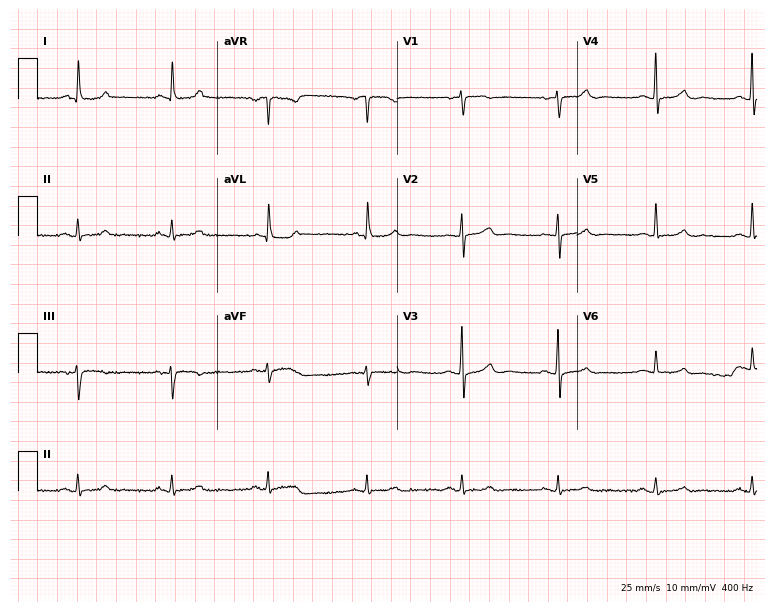
Electrocardiogram (7.3-second recording at 400 Hz), a female patient, 78 years old. Overall reading on record: normal ECG.